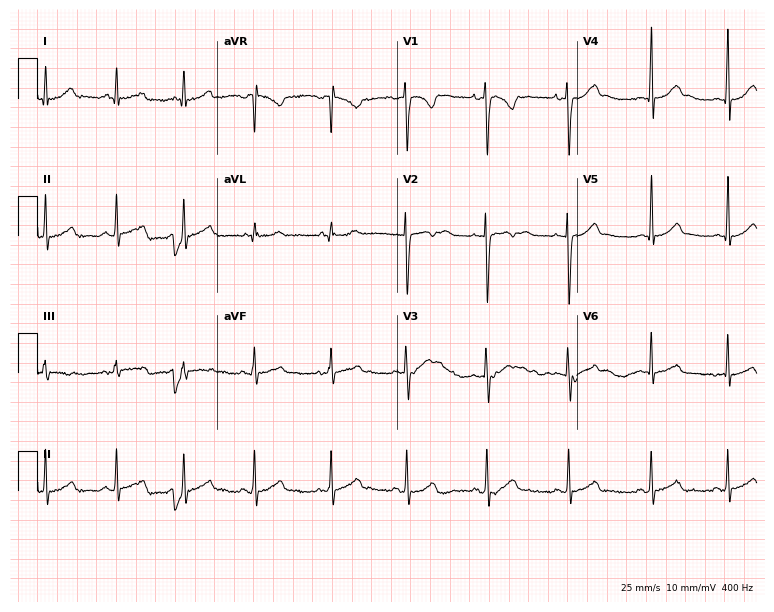
Resting 12-lead electrocardiogram. Patient: a 17-year-old male. Read as a normal ECG.